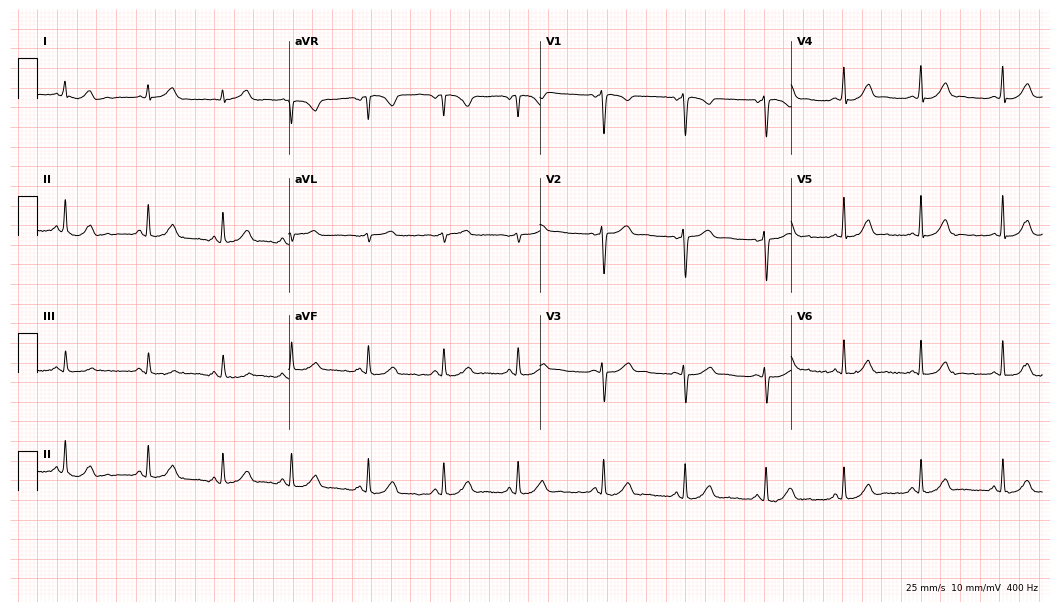
Resting 12-lead electrocardiogram. Patient: a 24-year-old female. Read as a normal ECG.